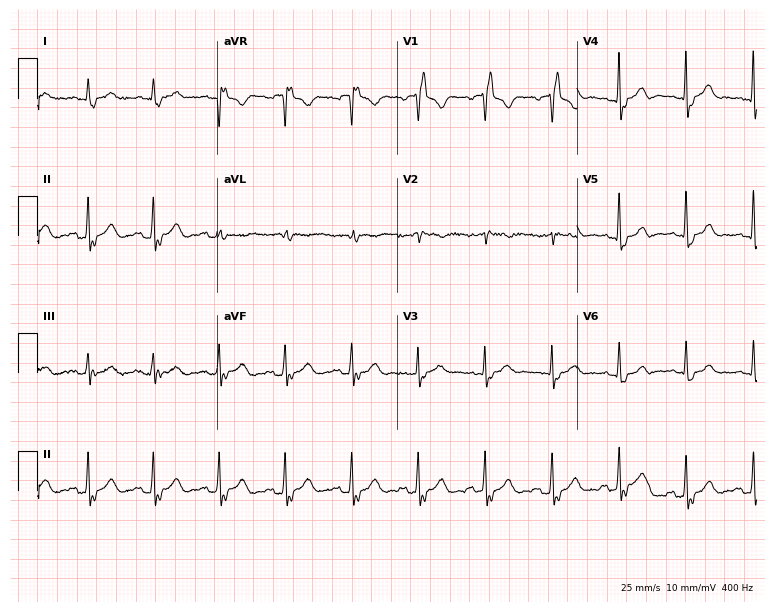
Electrocardiogram (7.3-second recording at 400 Hz), a 79-year-old man. Interpretation includes right bundle branch block.